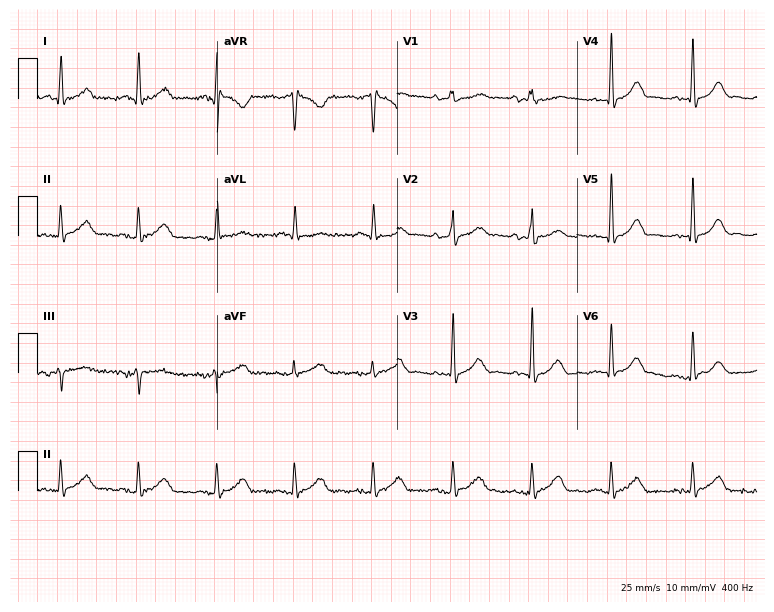
Electrocardiogram (7.3-second recording at 400 Hz), a male patient, 70 years old. Overall reading on record: normal ECG.